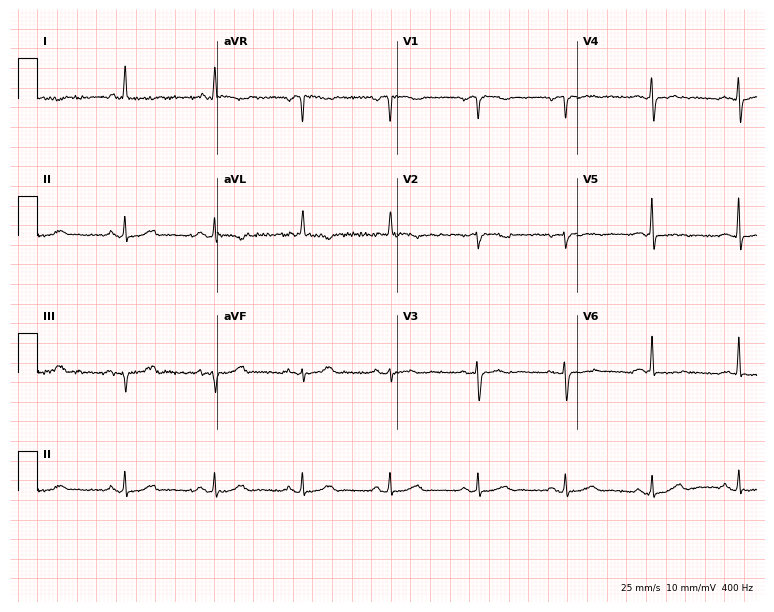
12-lead ECG (7.3-second recording at 400 Hz) from a female patient, 82 years old. Screened for six findings — first-degree AV block, right bundle branch block (RBBB), left bundle branch block (LBBB), sinus bradycardia, atrial fibrillation (AF), sinus tachycardia — none is recorded. Other findings, if any, are not listed.